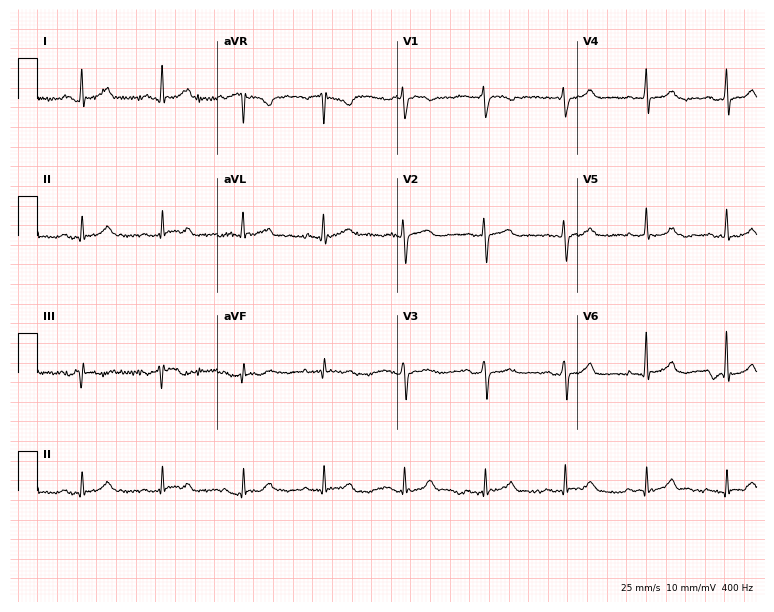
Electrocardiogram, a female patient, 85 years old. Of the six screened findings (first-degree AV block, right bundle branch block, left bundle branch block, sinus bradycardia, atrial fibrillation, sinus tachycardia), none is recorded.